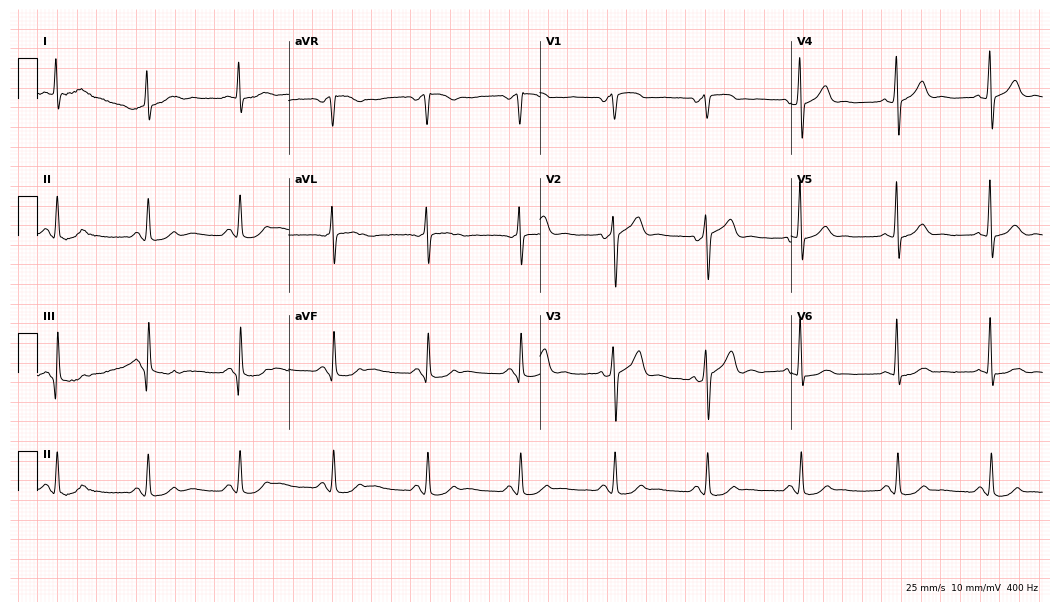
12-lead ECG from a male, 68 years old (10.2-second recording at 400 Hz). Recorded interpretation: within normal limits.